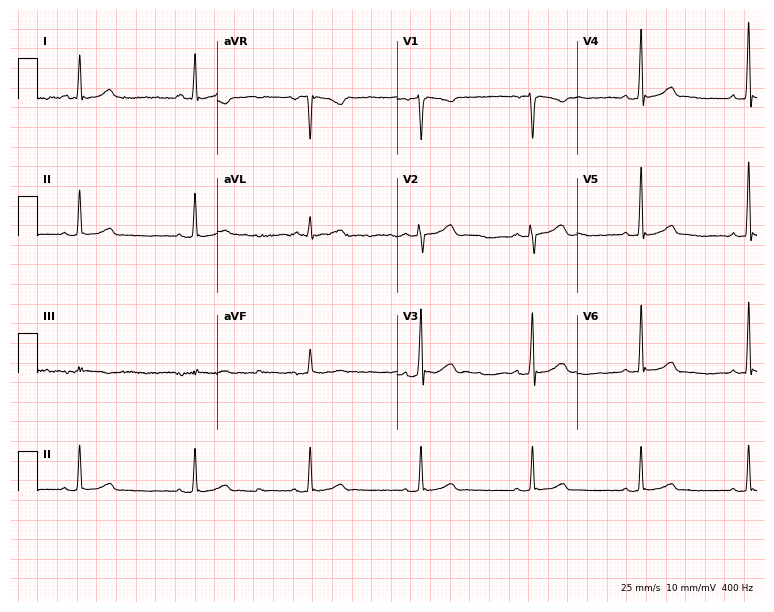
Electrocardiogram (7.3-second recording at 400 Hz), a male patient, 35 years old. Of the six screened findings (first-degree AV block, right bundle branch block, left bundle branch block, sinus bradycardia, atrial fibrillation, sinus tachycardia), none is recorded. Other findings, if any, are not listed.